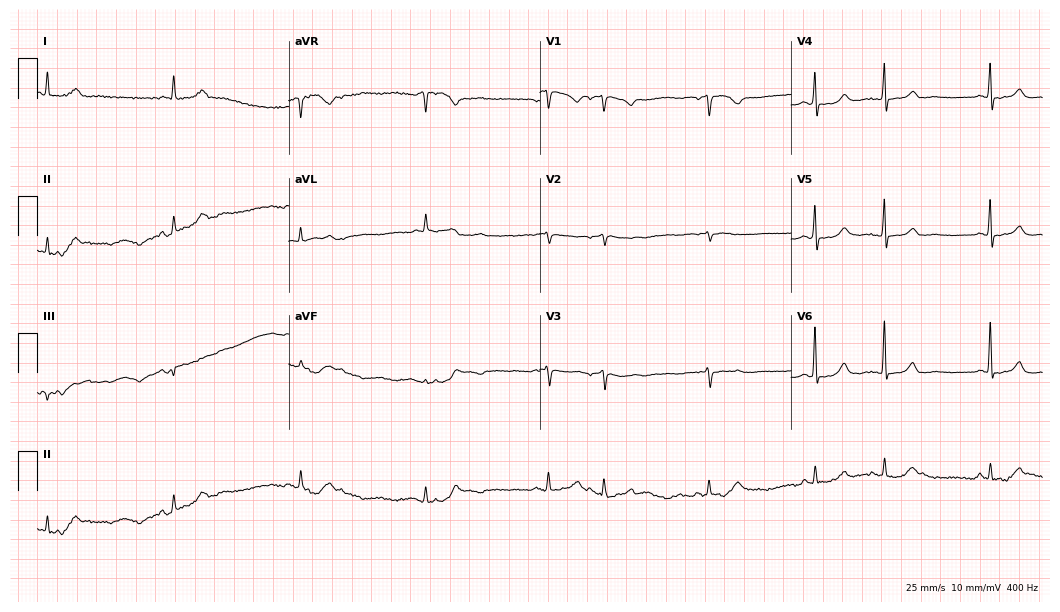
Standard 12-lead ECG recorded from a 74-year-old woman. None of these six findings is recorded: first-degree AV block, right bundle branch block, left bundle branch block, sinus bradycardia, atrial fibrillation, sinus tachycardia.